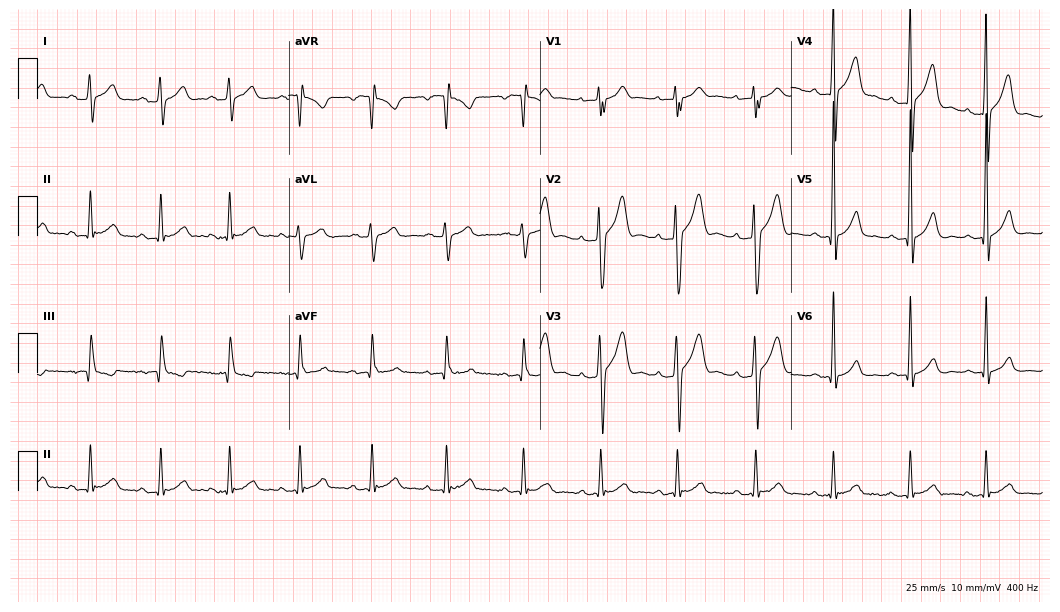
Standard 12-lead ECG recorded from a 22-year-old man (10.2-second recording at 400 Hz). Read as a normal ECG.